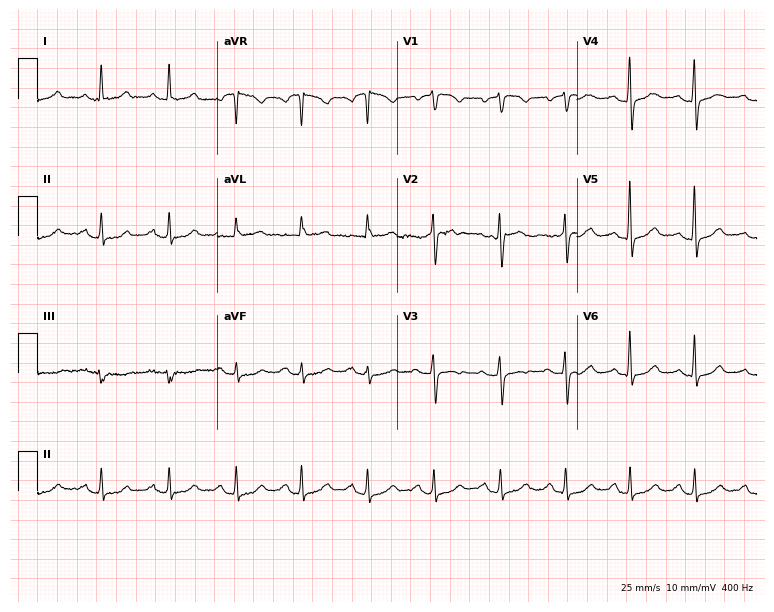
12-lead ECG from a woman, 71 years old. Labelled as a normal ECG.